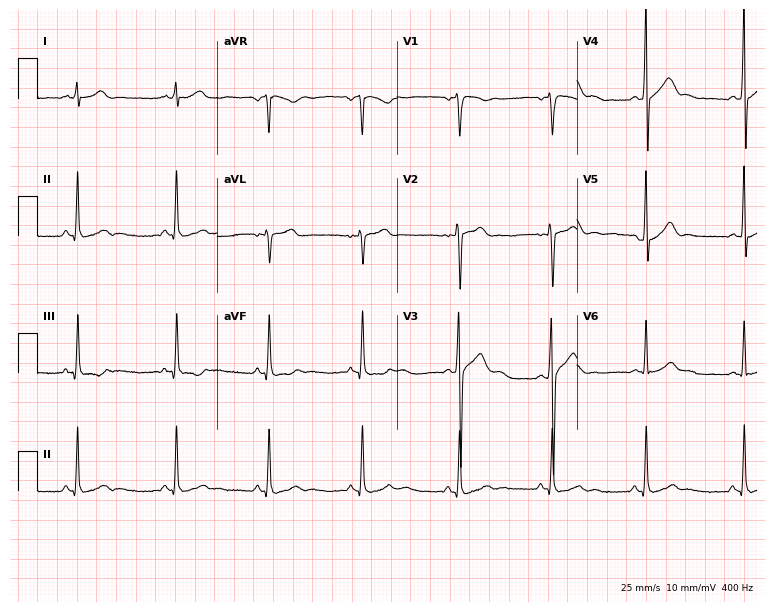
ECG — a male, 21 years old. Labelled as a normal ECG.